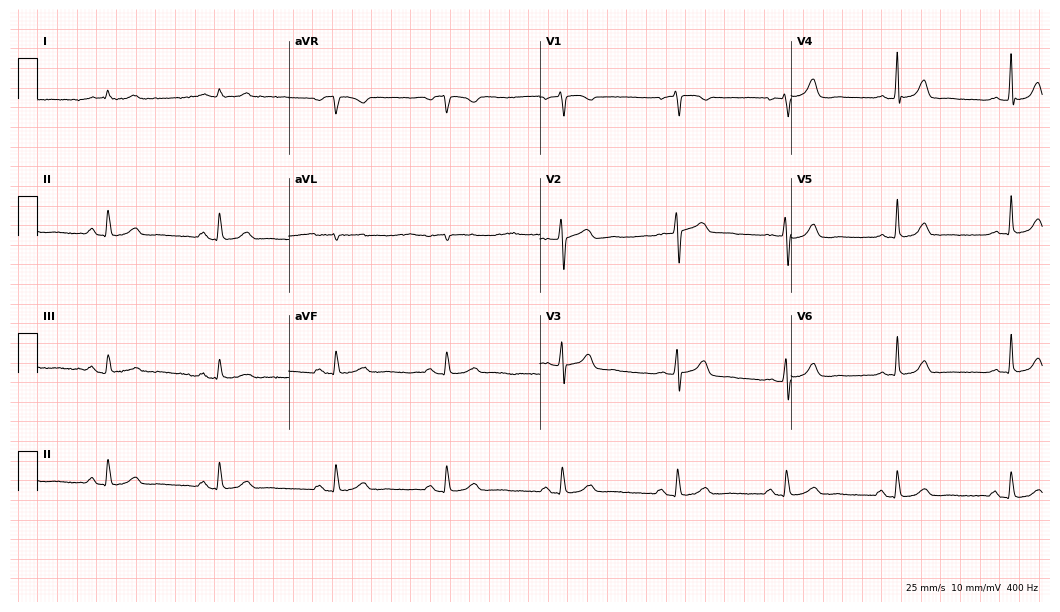
12-lead ECG (10.2-second recording at 400 Hz) from a female patient, 40 years old. Screened for six findings — first-degree AV block, right bundle branch block (RBBB), left bundle branch block (LBBB), sinus bradycardia, atrial fibrillation (AF), sinus tachycardia — none is recorded. Findings outside these six are not listed.